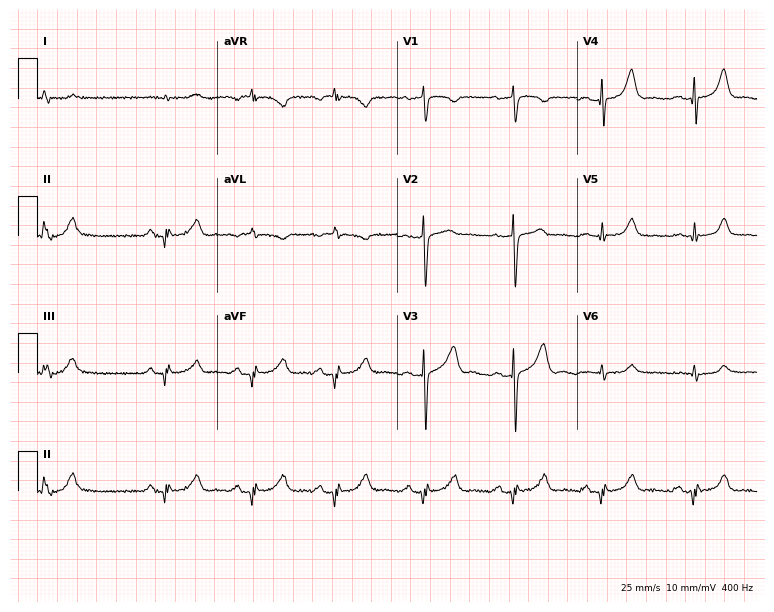
Standard 12-lead ECG recorded from a 64-year-old man. None of these six findings is recorded: first-degree AV block, right bundle branch block, left bundle branch block, sinus bradycardia, atrial fibrillation, sinus tachycardia. Only these six findings were labelled.